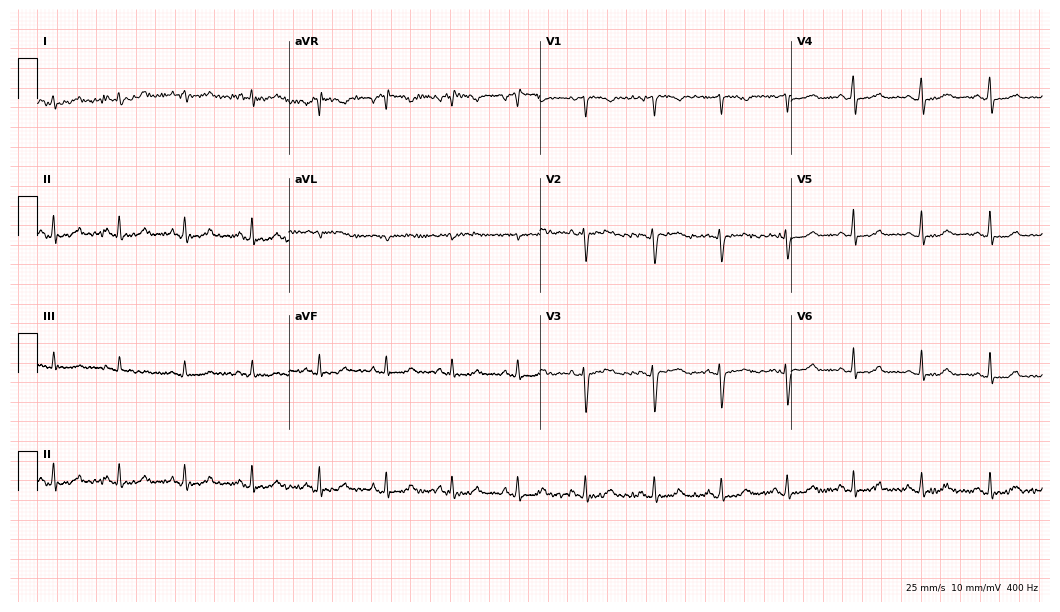
Standard 12-lead ECG recorded from a female, 43 years old (10.2-second recording at 400 Hz). Read as a normal ECG.